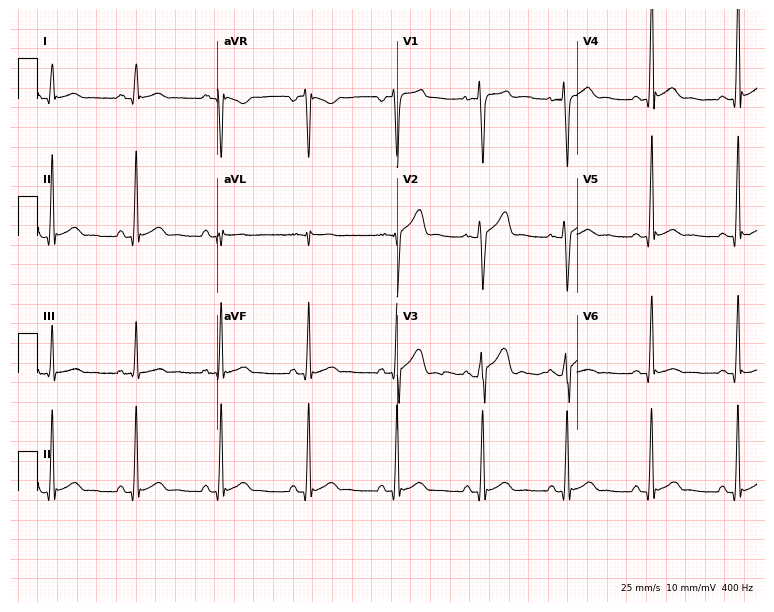
12-lead ECG from a 30-year-old man. Labelled as a normal ECG.